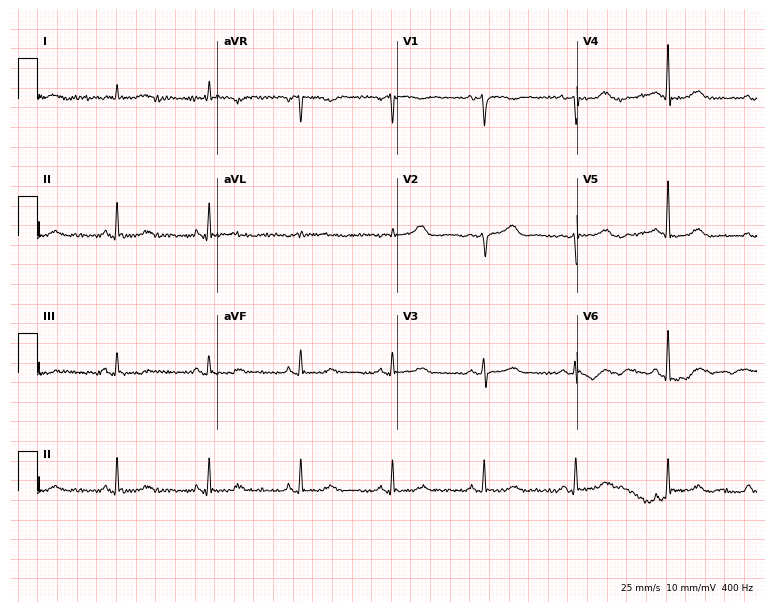
12-lead ECG from a woman, 68 years old. No first-degree AV block, right bundle branch block (RBBB), left bundle branch block (LBBB), sinus bradycardia, atrial fibrillation (AF) or sinus tachycardia recorded for this tracing.